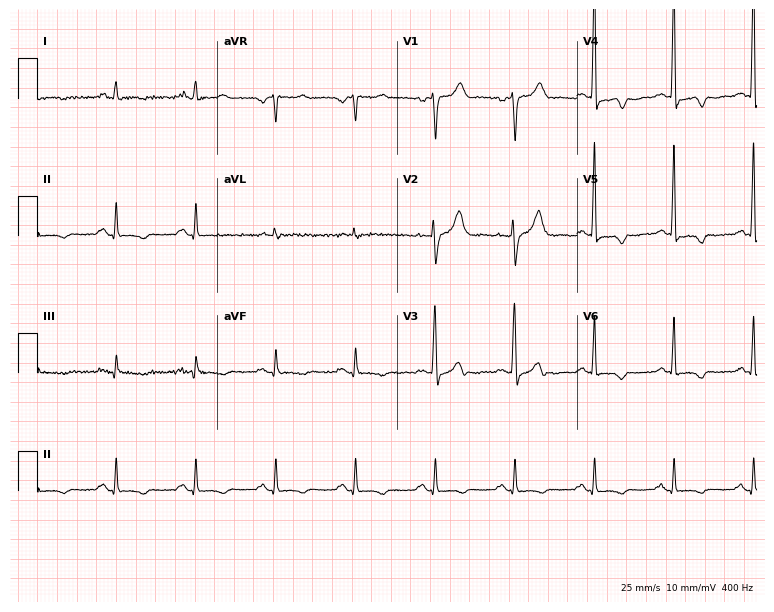
12-lead ECG from a 70-year-old man (7.3-second recording at 400 Hz). No first-degree AV block, right bundle branch block (RBBB), left bundle branch block (LBBB), sinus bradycardia, atrial fibrillation (AF) or sinus tachycardia recorded for this tracing.